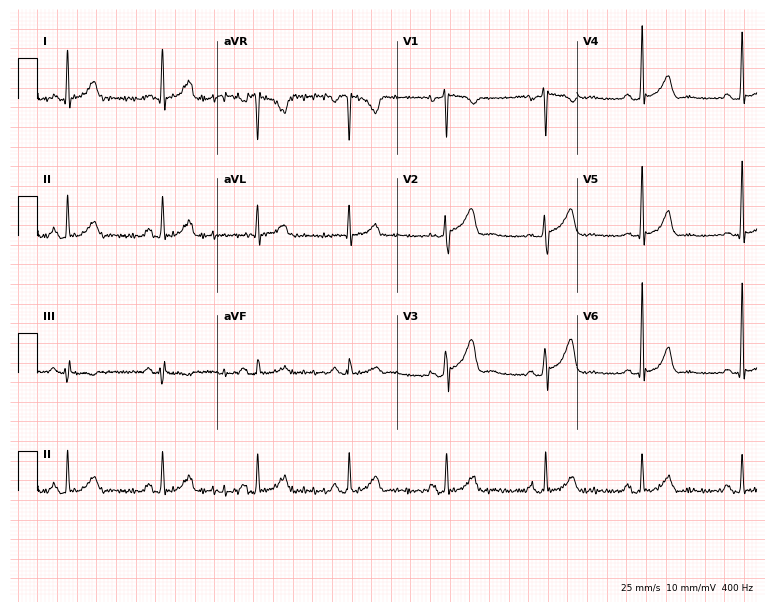
12-lead ECG from a man, 44 years old. No first-degree AV block, right bundle branch block, left bundle branch block, sinus bradycardia, atrial fibrillation or sinus tachycardia recorded for this tracing.